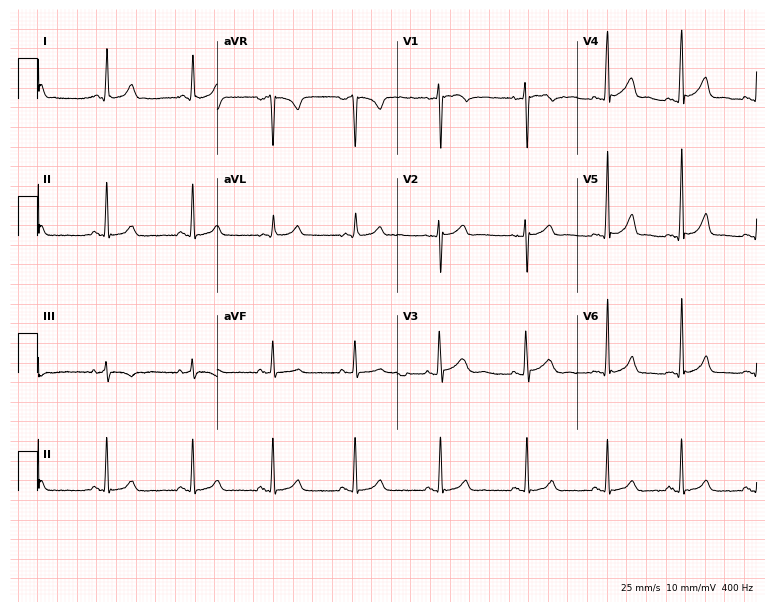
Resting 12-lead electrocardiogram. Patient: a 23-year-old male. Read as a normal ECG.